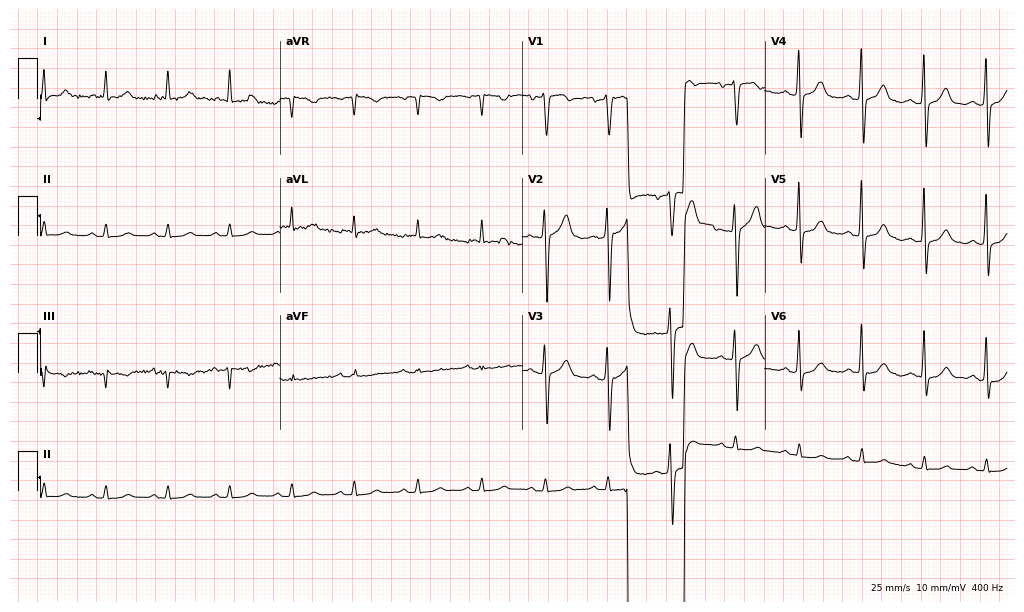
Standard 12-lead ECG recorded from a 47-year-old woman. None of these six findings is recorded: first-degree AV block, right bundle branch block, left bundle branch block, sinus bradycardia, atrial fibrillation, sinus tachycardia.